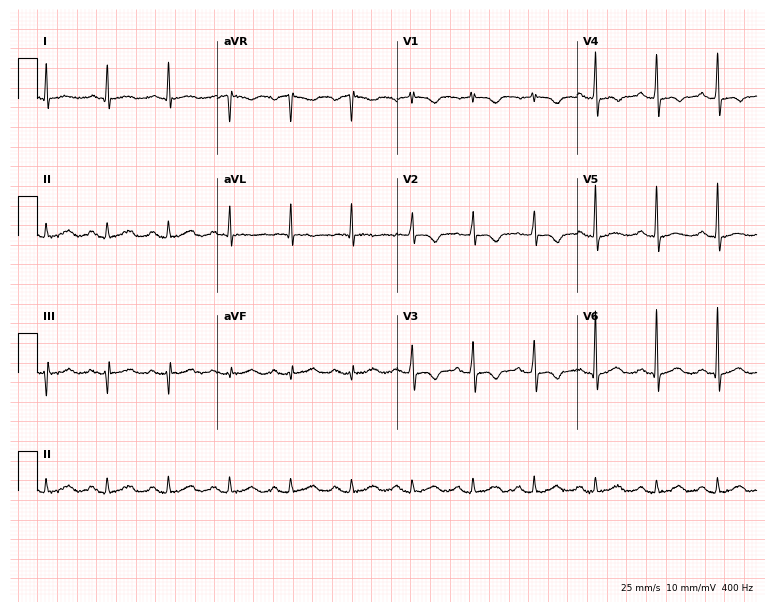
Standard 12-lead ECG recorded from a 68-year-old woman. None of these six findings is recorded: first-degree AV block, right bundle branch block, left bundle branch block, sinus bradycardia, atrial fibrillation, sinus tachycardia.